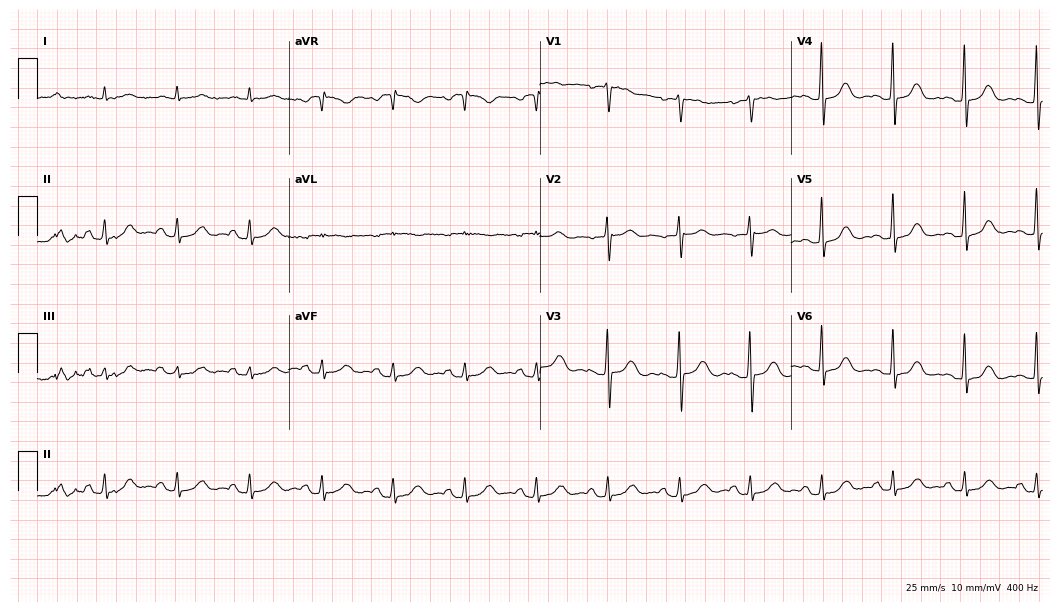
Standard 12-lead ECG recorded from a woman, 78 years old. Read as a normal ECG.